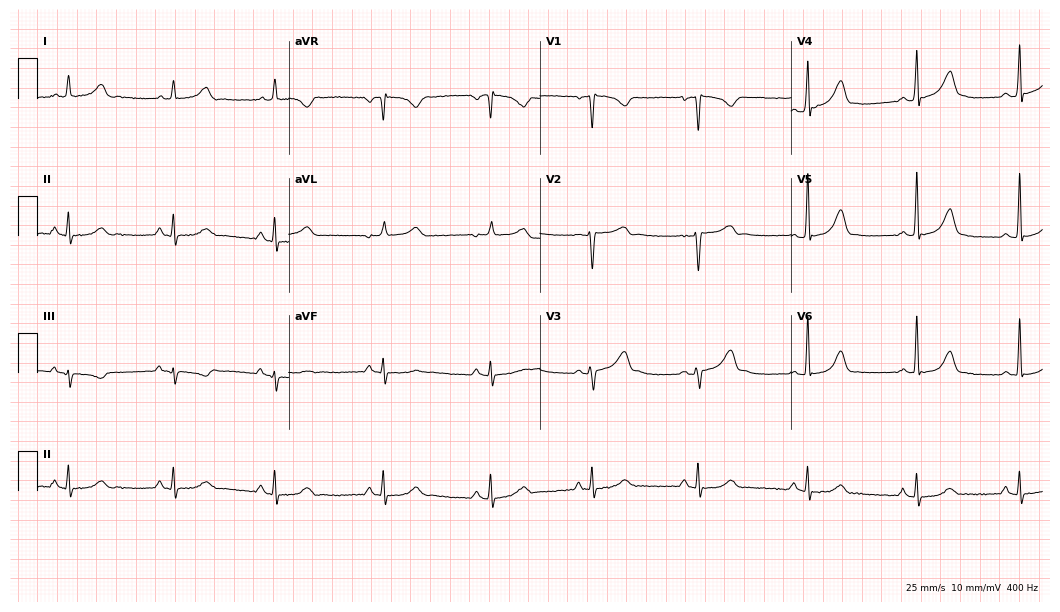
12-lead ECG from a female patient, 33 years old. No first-degree AV block, right bundle branch block, left bundle branch block, sinus bradycardia, atrial fibrillation or sinus tachycardia recorded for this tracing.